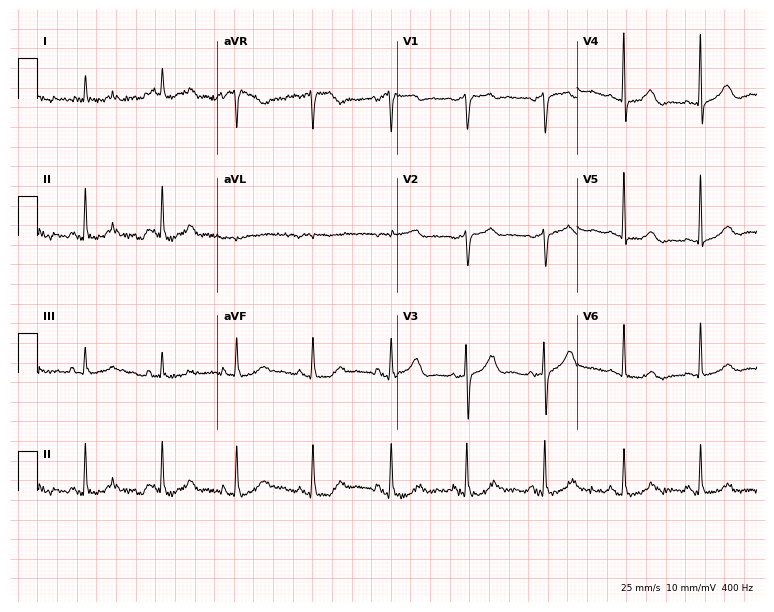
ECG — a female, 74 years old. Screened for six findings — first-degree AV block, right bundle branch block, left bundle branch block, sinus bradycardia, atrial fibrillation, sinus tachycardia — none is recorded. Other findings, if any, are not listed.